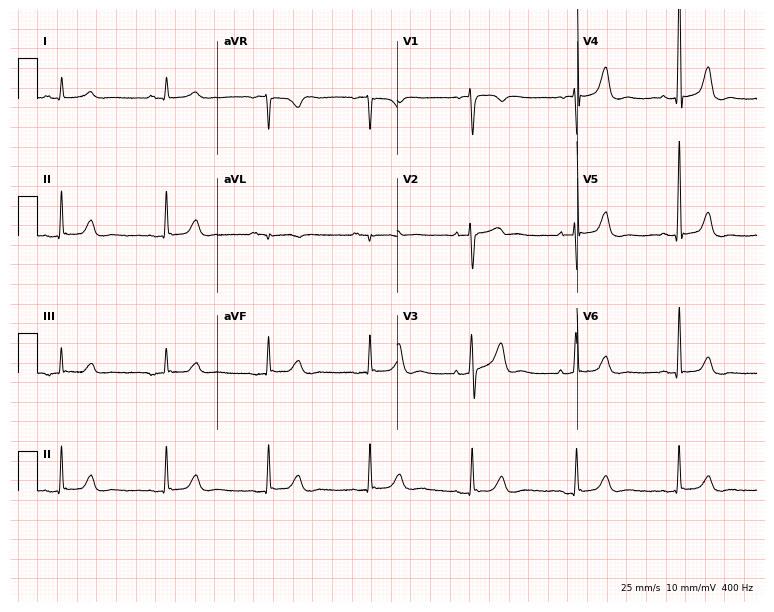
ECG — a 70-year-old man. Screened for six findings — first-degree AV block, right bundle branch block (RBBB), left bundle branch block (LBBB), sinus bradycardia, atrial fibrillation (AF), sinus tachycardia — none is recorded.